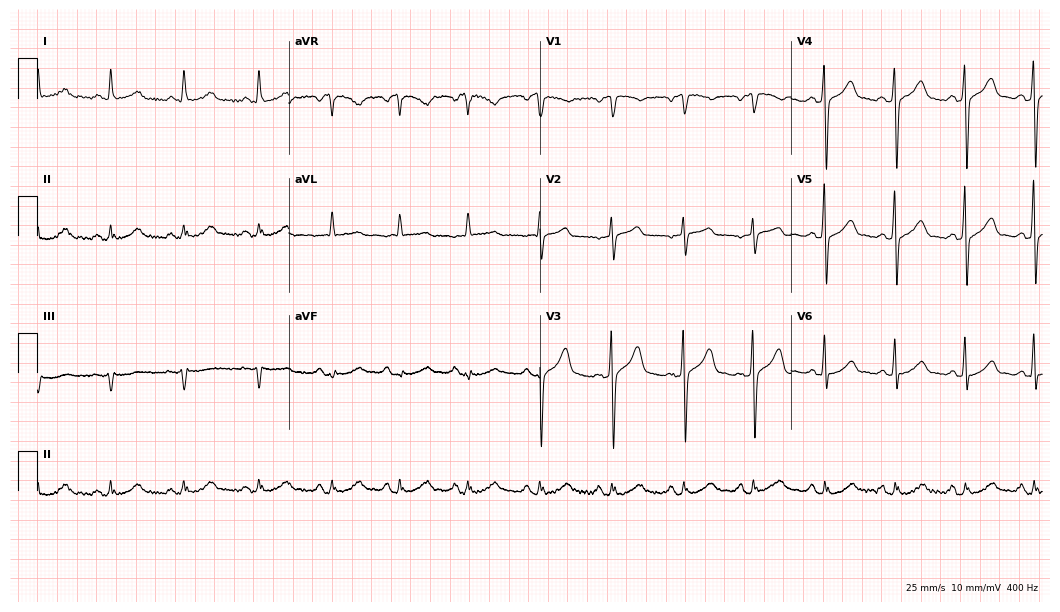
Resting 12-lead electrocardiogram. Patient: a male, 56 years old. Read as a normal ECG.